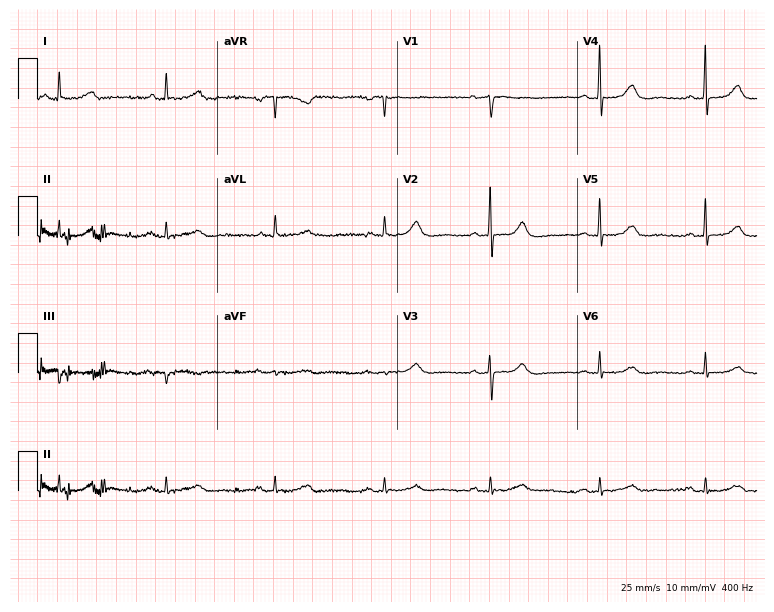
12-lead ECG from a female patient, 70 years old (7.3-second recording at 400 Hz). Recorded interpretation: within normal limits.